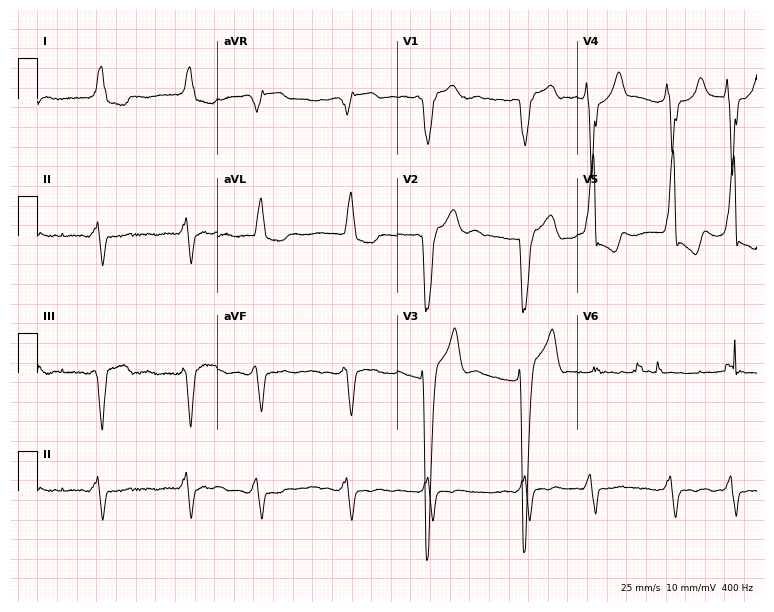
Resting 12-lead electrocardiogram. Patient: an 85-year-old female. The tracing shows left bundle branch block, atrial fibrillation.